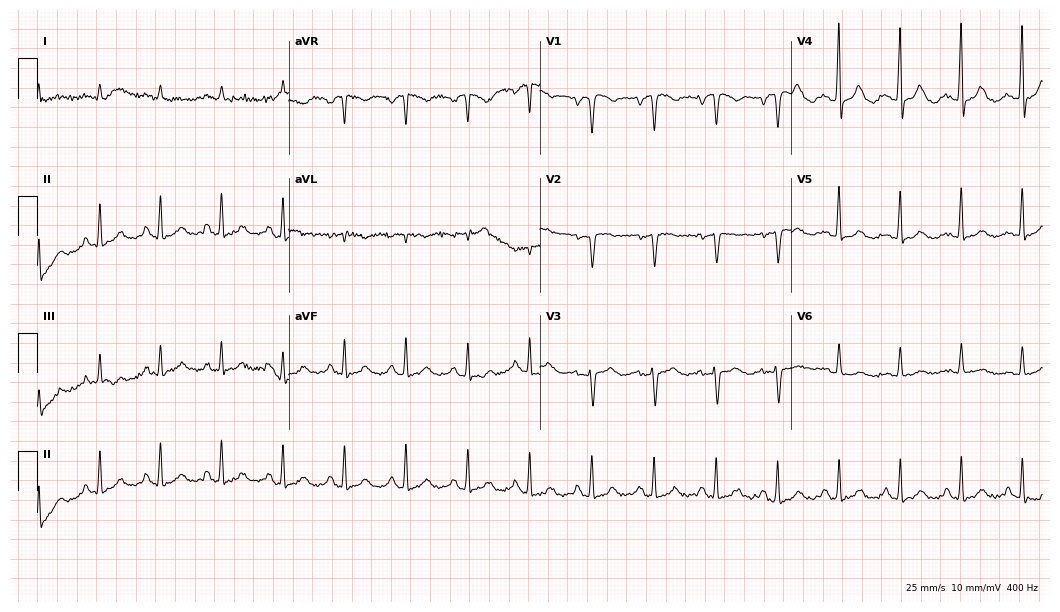
Electrocardiogram (10.2-second recording at 400 Hz), a woman, 83 years old. Of the six screened findings (first-degree AV block, right bundle branch block, left bundle branch block, sinus bradycardia, atrial fibrillation, sinus tachycardia), none is recorded.